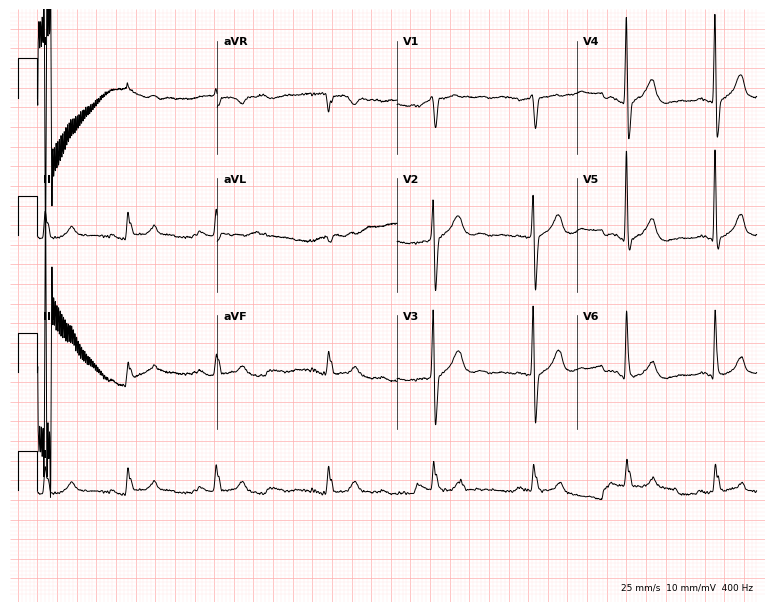
12-lead ECG from a 64-year-old male. Labelled as a normal ECG.